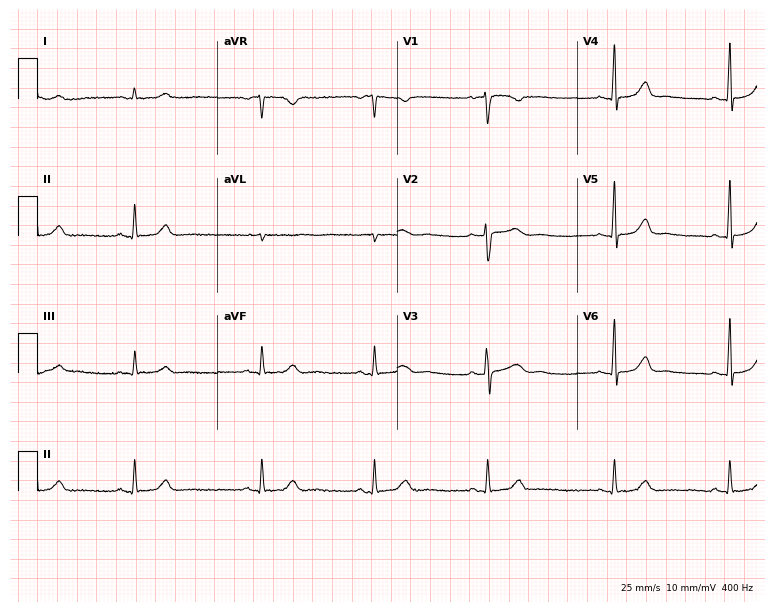
Resting 12-lead electrocardiogram. Patient: a 44-year-old female. None of these six findings is recorded: first-degree AV block, right bundle branch block (RBBB), left bundle branch block (LBBB), sinus bradycardia, atrial fibrillation (AF), sinus tachycardia.